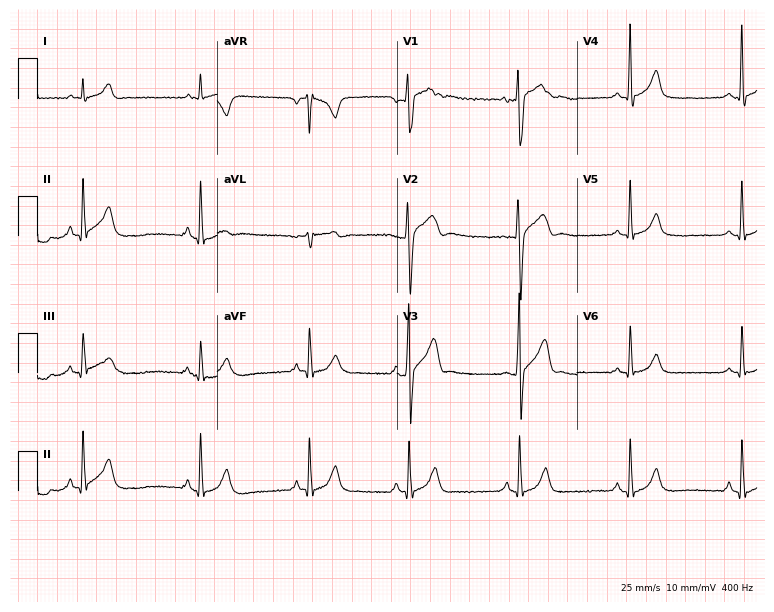
Resting 12-lead electrocardiogram (7.3-second recording at 400 Hz). Patient: a 20-year-old male. Read as a normal ECG.